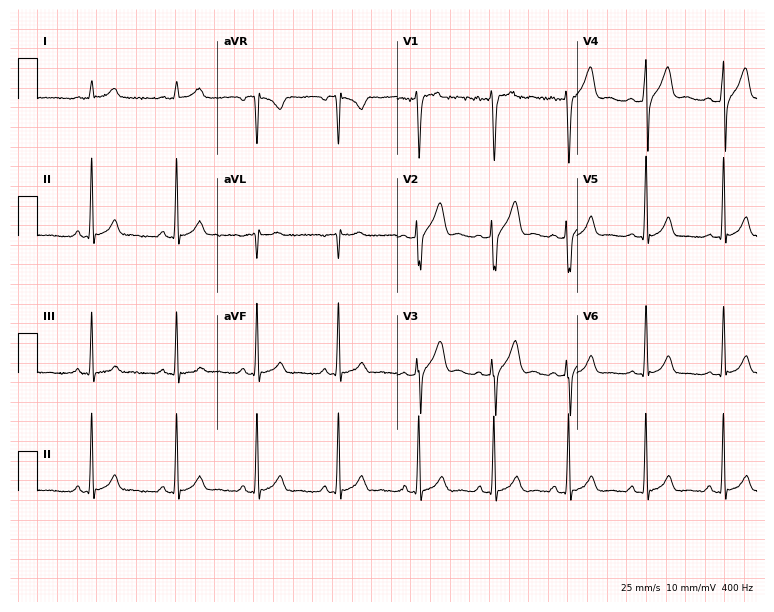
Standard 12-lead ECG recorded from a 23-year-old male patient (7.3-second recording at 400 Hz). None of these six findings is recorded: first-degree AV block, right bundle branch block, left bundle branch block, sinus bradycardia, atrial fibrillation, sinus tachycardia. Findings outside these six are not listed.